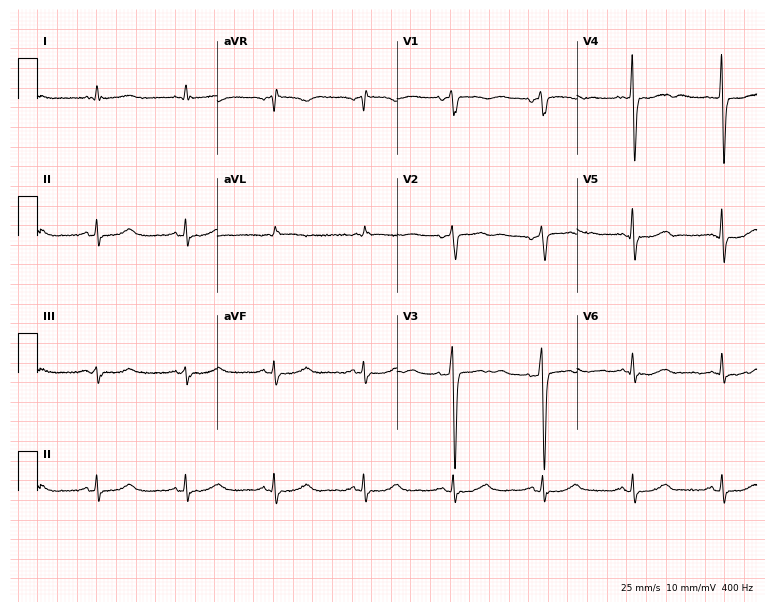
12-lead ECG from a 78-year-old male patient. Labelled as a normal ECG.